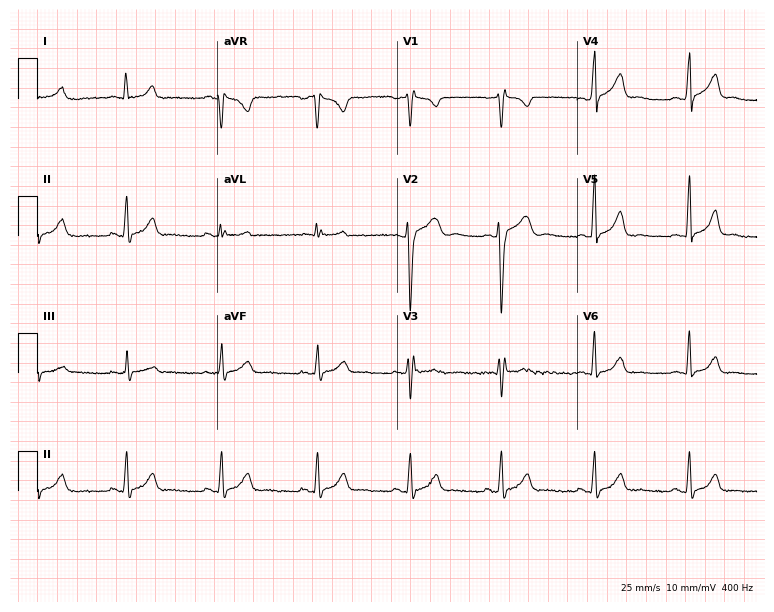
12-lead ECG from a 28-year-old woman. Recorded interpretation: within normal limits.